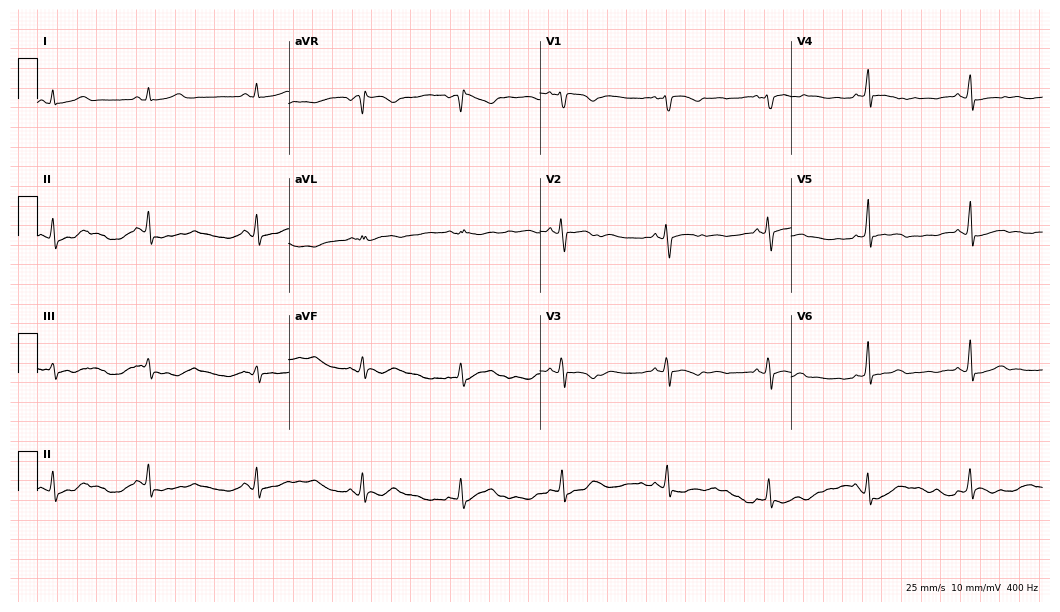
Electrocardiogram, a female, 31 years old. Of the six screened findings (first-degree AV block, right bundle branch block (RBBB), left bundle branch block (LBBB), sinus bradycardia, atrial fibrillation (AF), sinus tachycardia), none is recorded.